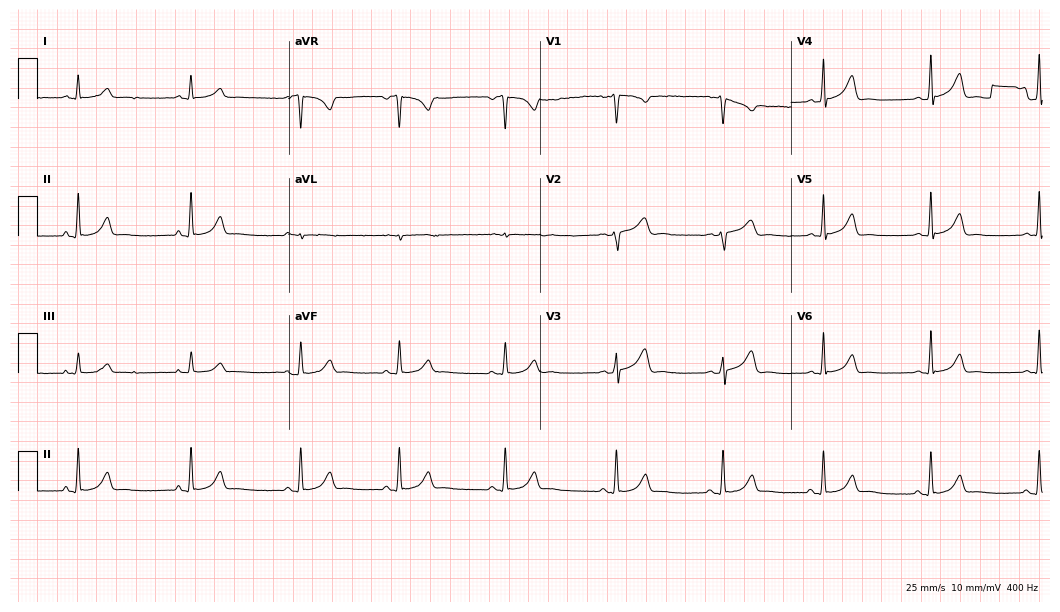
12-lead ECG from a 30-year-old female. Labelled as a normal ECG.